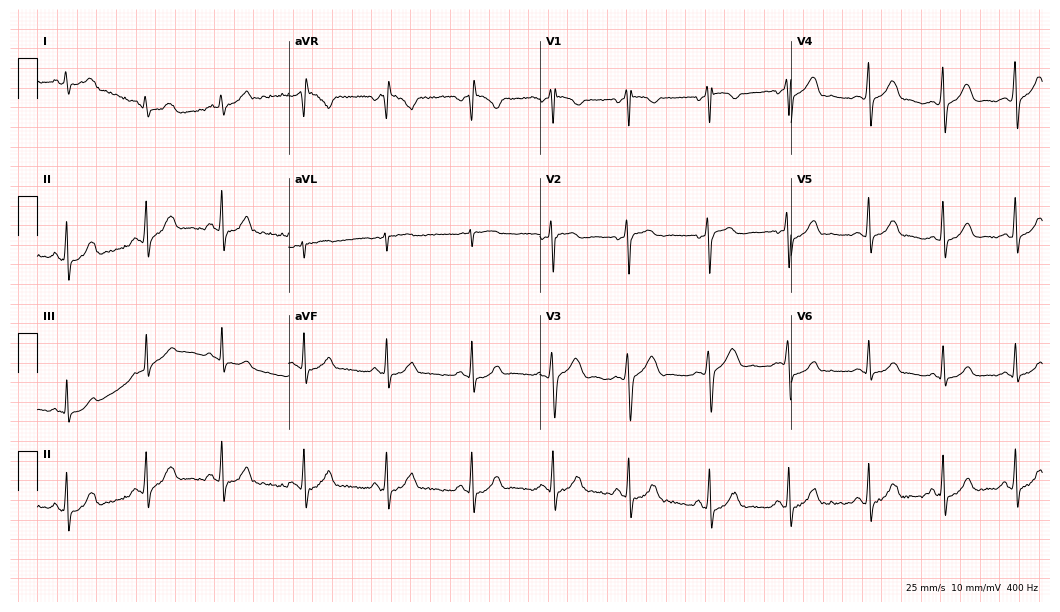
Resting 12-lead electrocardiogram (10.2-second recording at 400 Hz). Patient: a female, 29 years old. Read as a normal ECG.